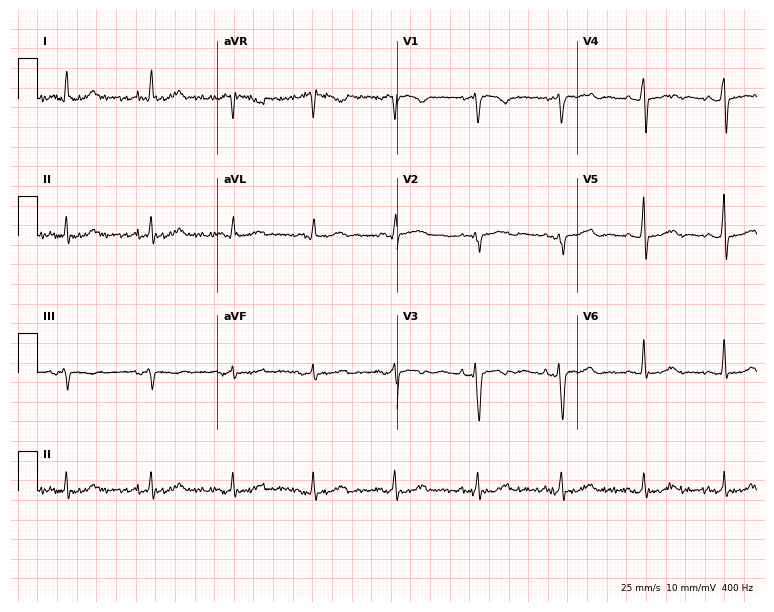
Resting 12-lead electrocardiogram. Patient: a 57-year-old female. Read as a normal ECG.